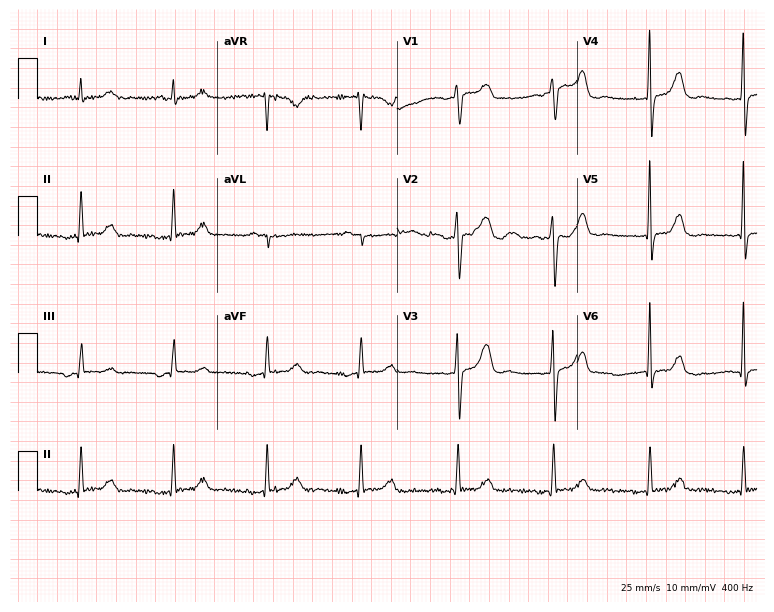
ECG (7.3-second recording at 400 Hz) — a female patient, 74 years old. Labelled as a normal ECG.